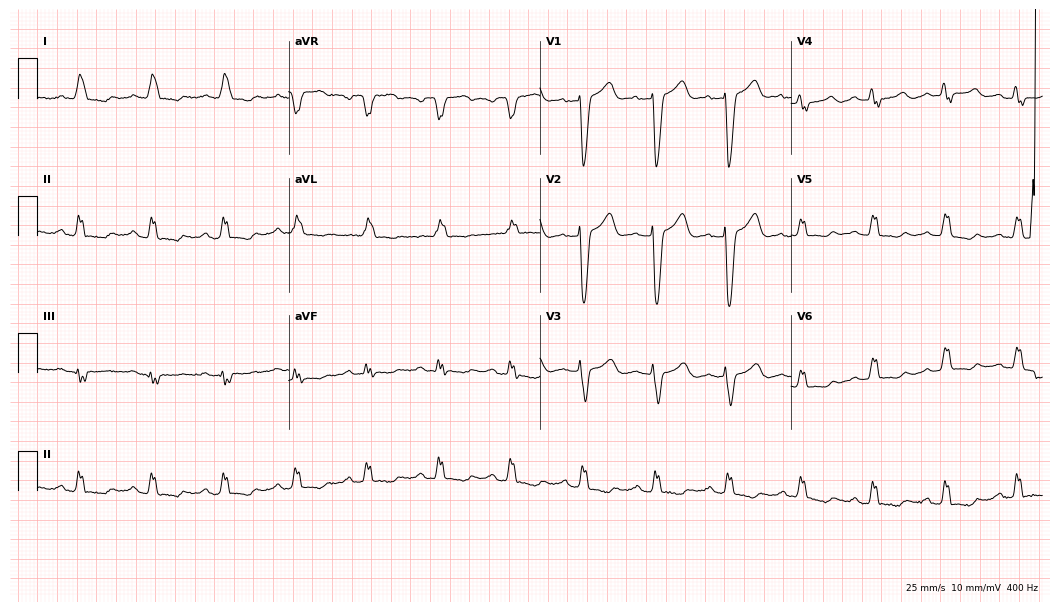
Resting 12-lead electrocardiogram. Patient: a female, 68 years old. The tracing shows left bundle branch block.